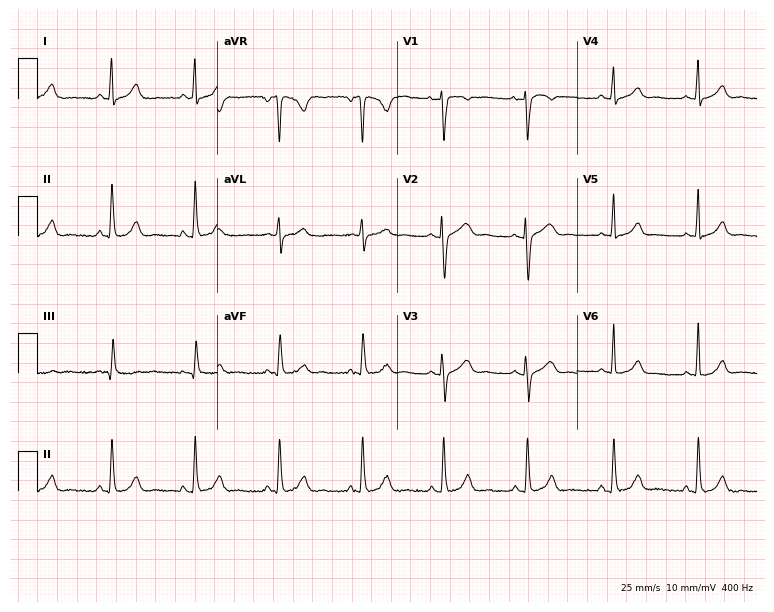
Electrocardiogram (7.3-second recording at 400 Hz), a female patient, 23 years old. Of the six screened findings (first-degree AV block, right bundle branch block (RBBB), left bundle branch block (LBBB), sinus bradycardia, atrial fibrillation (AF), sinus tachycardia), none is recorded.